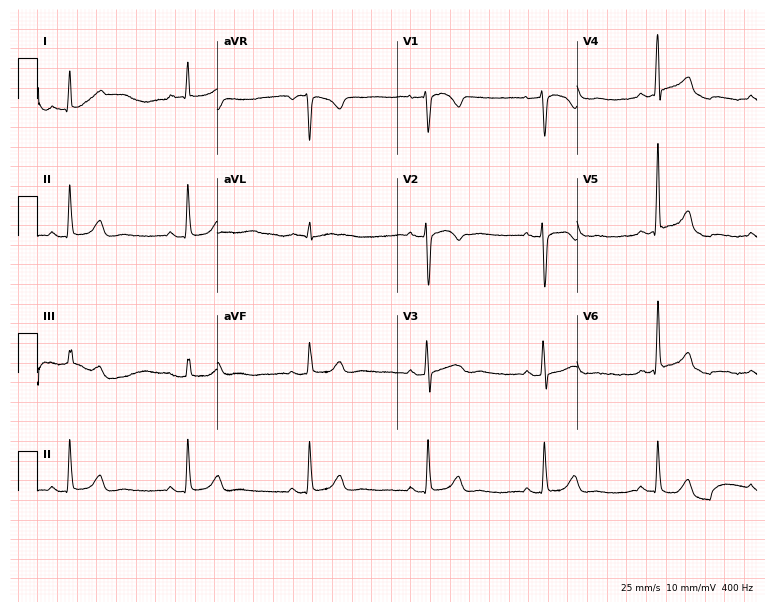
Electrocardiogram (7.3-second recording at 400 Hz), a 48-year-old female patient. Interpretation includes sinus bradycardia (a sinus rate of 50 beats per minute or less).